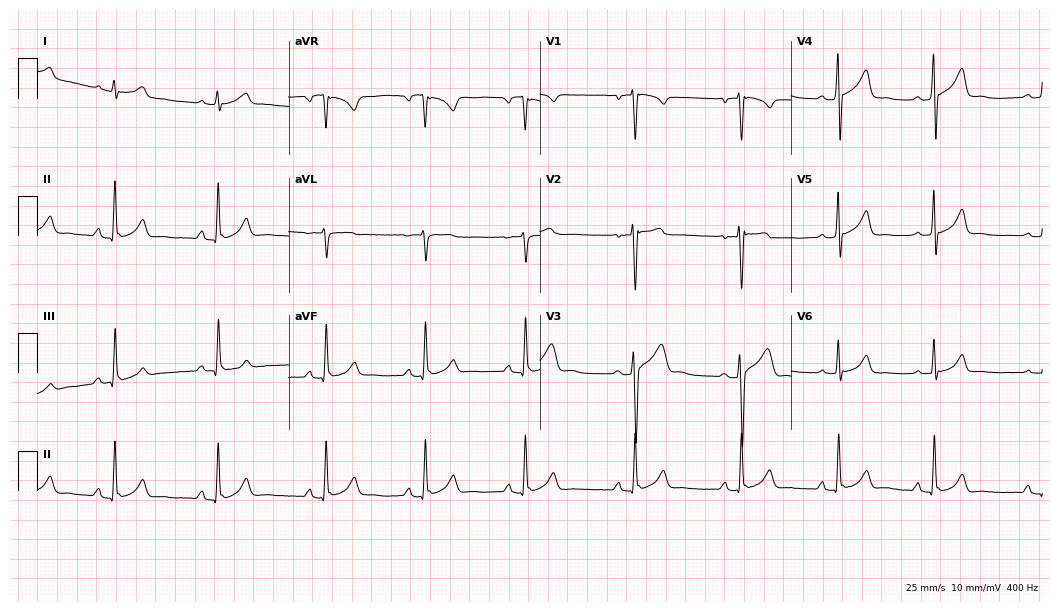
Resting 12-lead electrocardiogram. Patient: a male, 17 years old. Read as a normal ECG.